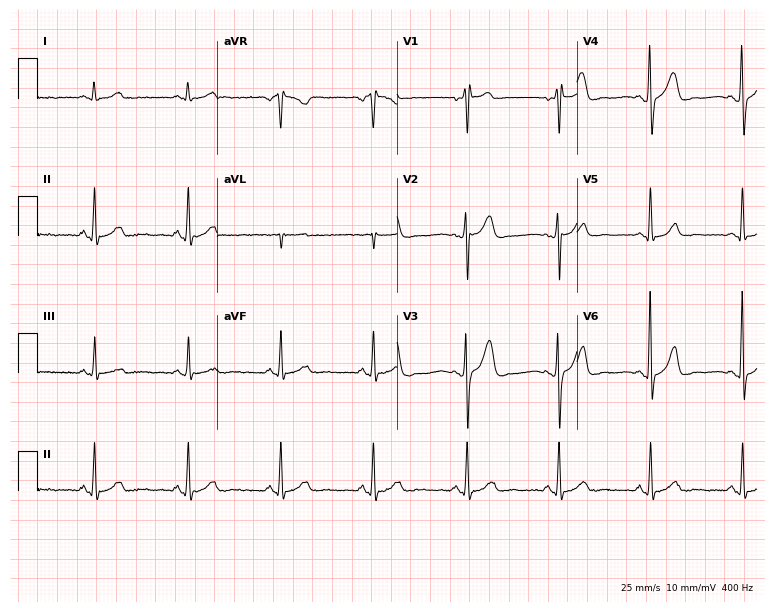
Resting 12-lead electrocardiogram. Patient: a male, 42 years old. Read as a normal ECG.